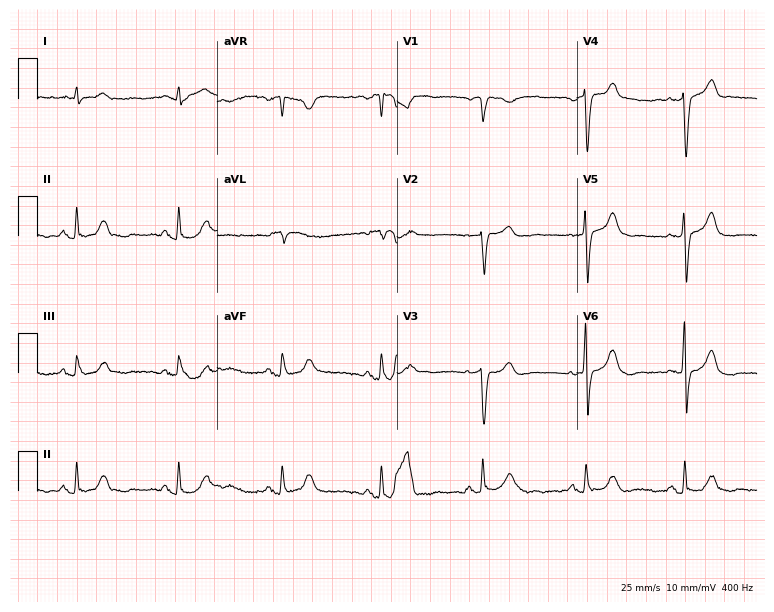
12-lead ECG from a male patient, 77 years old. No first-degree AV block, right bundle branch block (RBBB), left bundle branch block (LBBB), sinus bradycardia, atrial fibrillation (AF) or sinus tachycardia recorded for this tracing. Other findings, if any, are not listed.